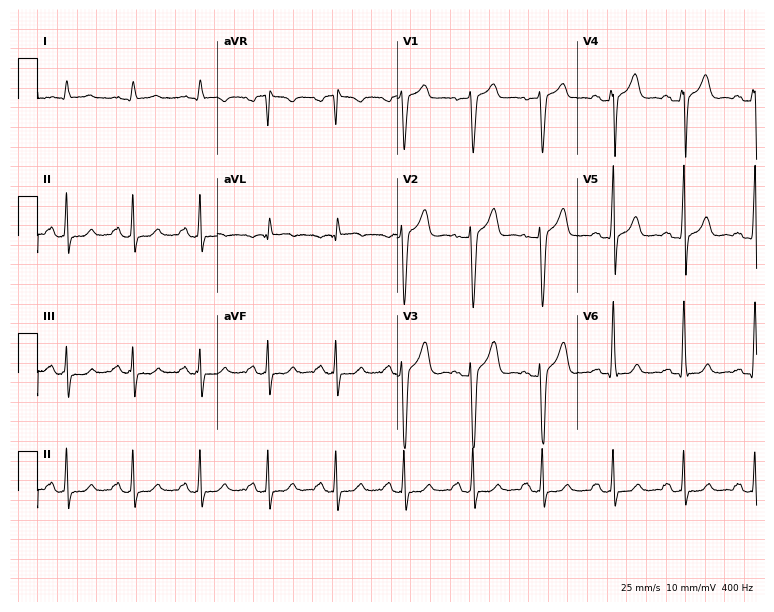
12-lead ECG (7.3-second recording at 400 Hz) from a man, 55 years old. Labelled as a normal ECG.